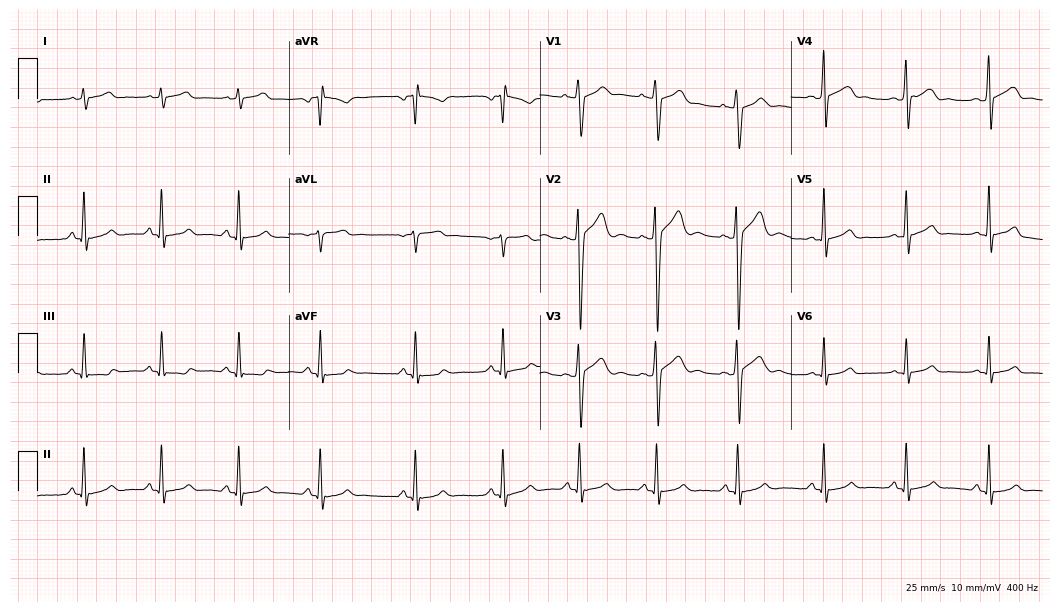
12-lead ECG (10.2-second recording at 400 Hz) from a male, 17 years old. Labelled as a normal ECG.